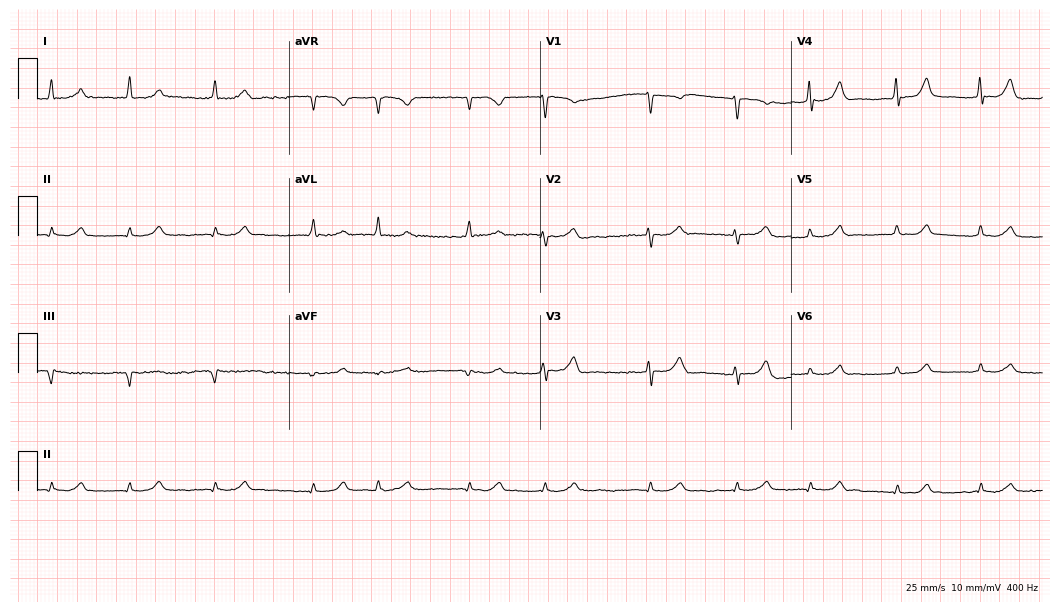
Standard 12-lead ECG recorded from a female, 63 years old (10.2-second recording at 400 Hz). None of these six findings is recorded: first-degree AV block, right bundle branch block, left bundle branch block, sinus bradycardia, atrial fibrillation, sinus tachycardia.